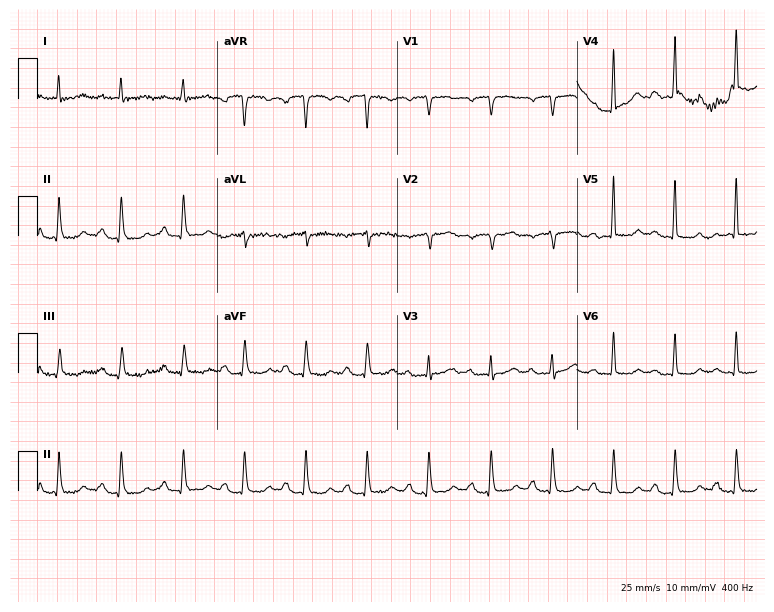
Standard 12-lead ECG recorded from a 78-year-old male patient (7.3-second recording at 400 Hz). None of these six findings is recorded: first-degree AV block, right bundle branch block, left bundle branch block, sinus bradycardia, atrial fibrillation, sinus tachycardia.